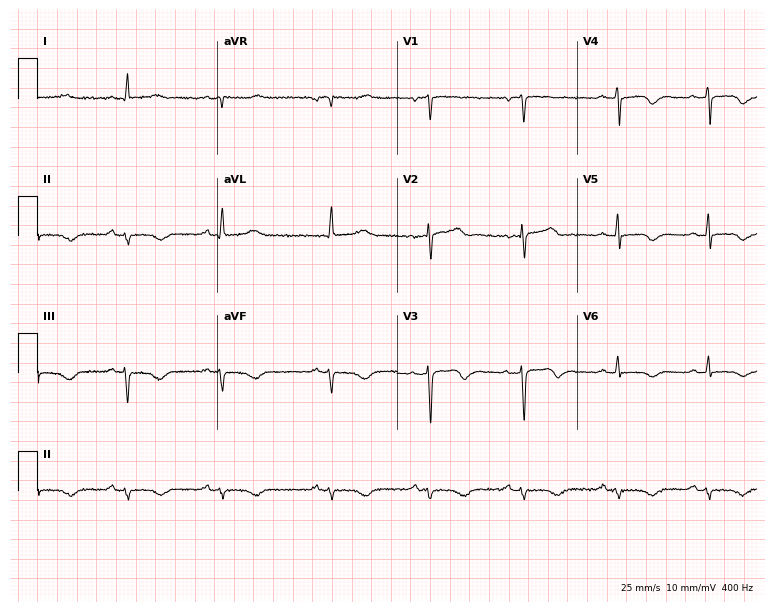
12-lead ECG from a 79-year-old woman. Screened for six findings — first-degree AV block, right bundle branch block, left bundle branch block, sinus bradycardia, atrial fibrillation, sinus tachycardia — none is recorded. Findings outside these six are not listed.